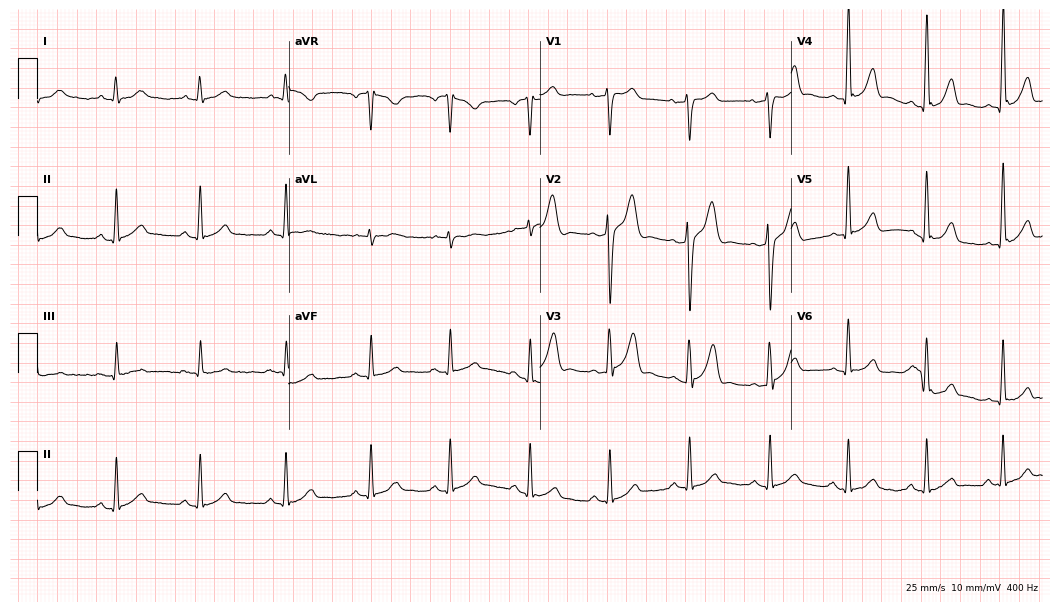
Resting 12-lead electrocardiogram (10.2-second recording at 400 Hz). Patient: a 37-year-old male. Read as a normal ECG.